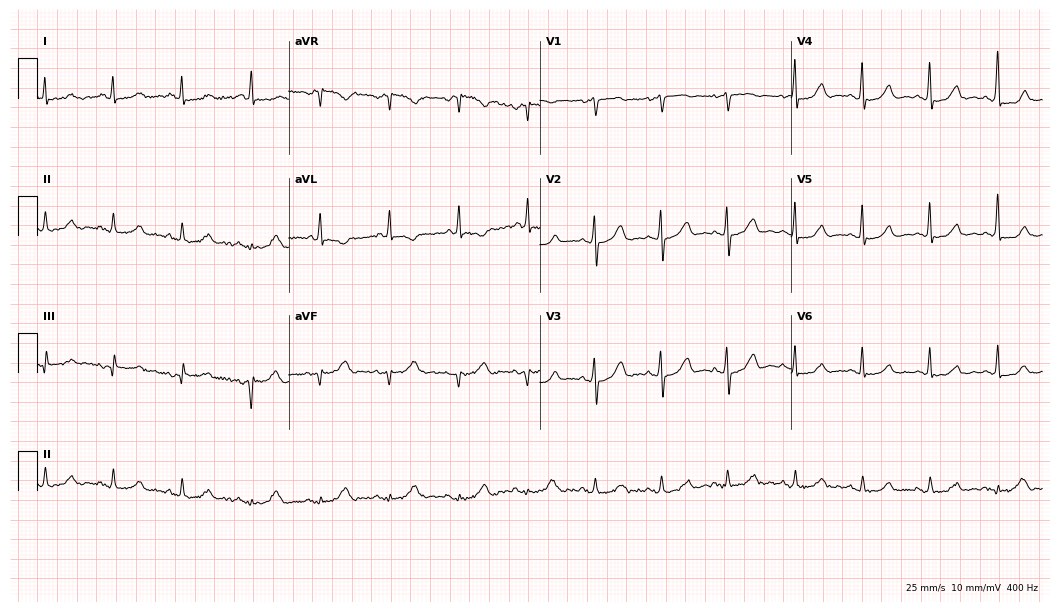
Standard 12-lead ECG recorded from a 46-year-old female patient (10.2-second recording at 400 Hz). Read as a normal ECG.